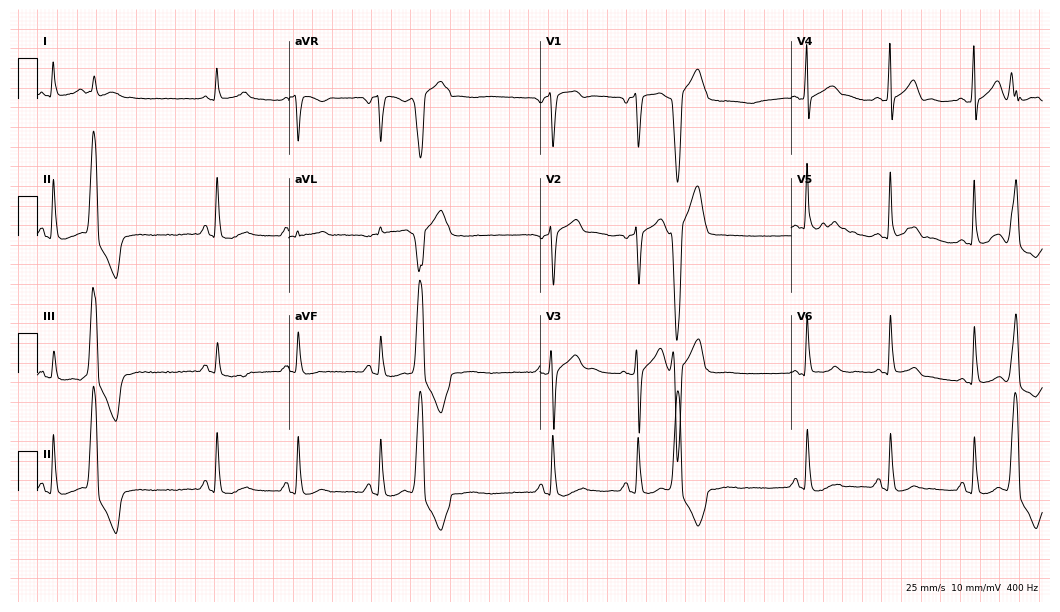
Electrocardiogram (10.2-second recording at 400 Hz), a 57-year-old male. Of the six screened findings (first-degree AV block, right bundle branch block, left bundle branch block, sinus bradycardia, atrial fibrillation, sinus tachycardia), none is recorded. Other findings, if any, are not listed.